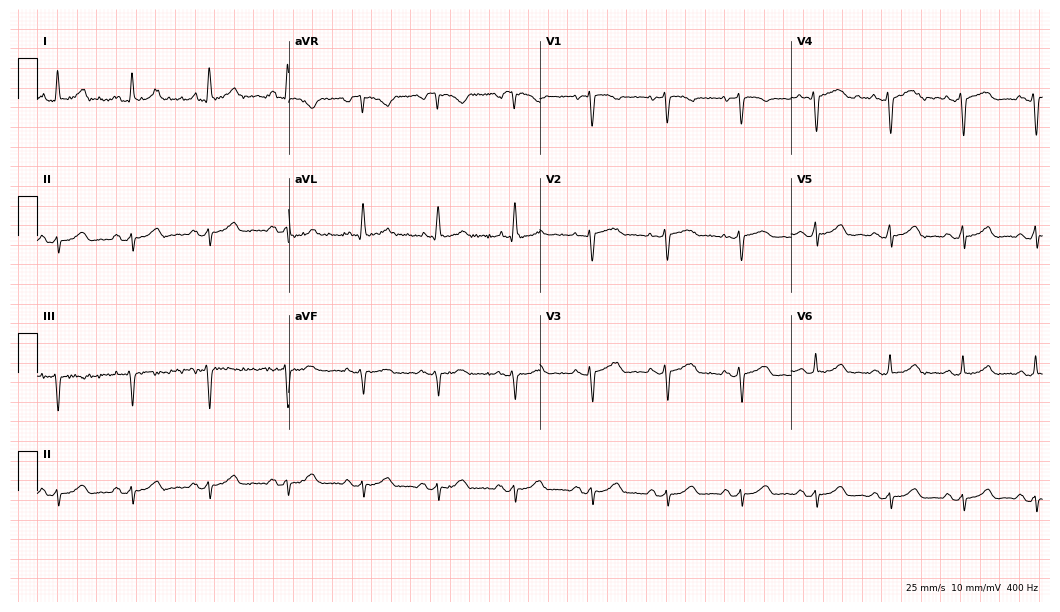
Electrocardiogram (10.2-second recording at 400 Hz), a 58-year-old woman. Of the six screened findings (first-degree AV block, right bundle branch block, left bundle branch block, sinus bradycardia, atrial fibrillation, sinus tachycardia), none is recorded.